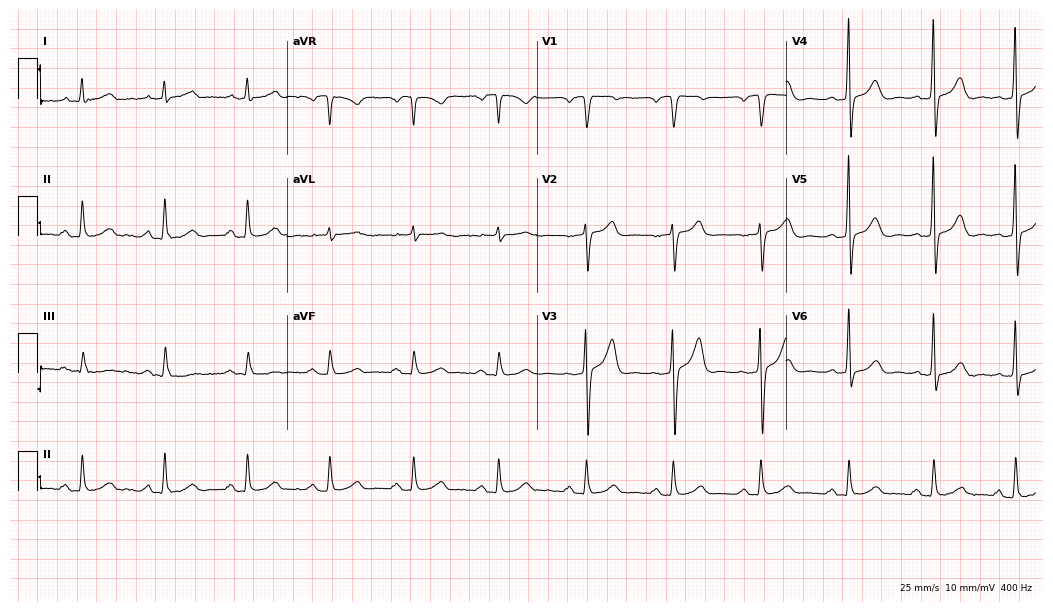
Electrocardiogram, a 71-year-old male. Overall reading on record: normal ECG.